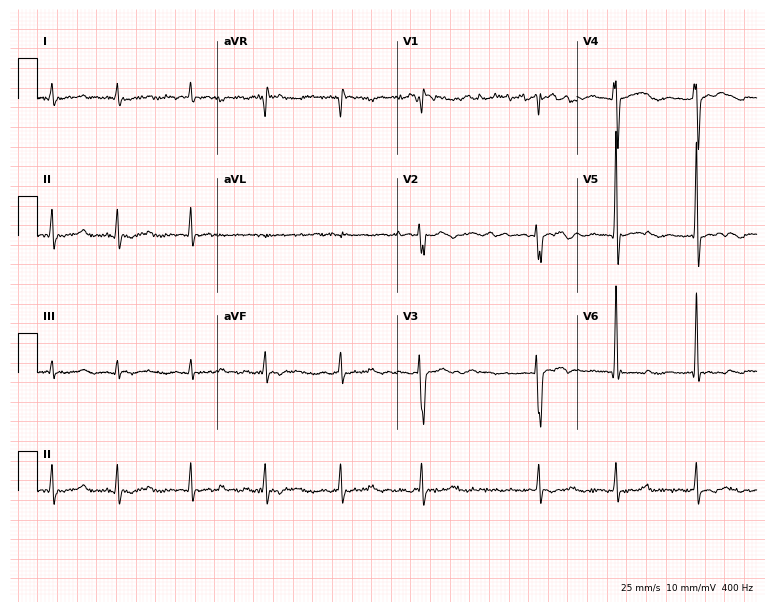
Resting 12-lead electrocardiogram (7.3-second recording at 400 Hz). Patient: a 42-year-old male. The tracing shows atrial fibrillation.